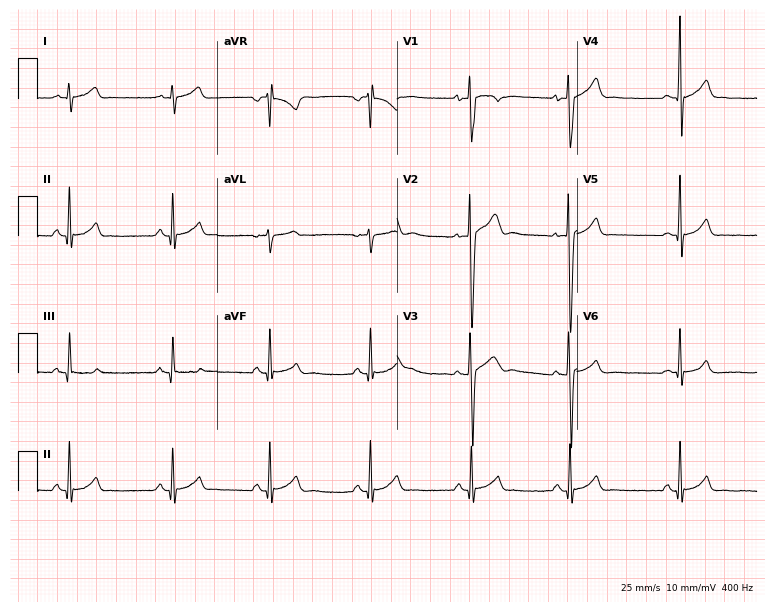
Resting 12-lead electrocardiogram (7.3-second recording at 400 Hz). Patient: a man, 17 years old. None of these six findings is recorded: first-degree AV block, right bundle branch block, left bundle branch block, sinus bradycardia, atrial fibrillation, sinus tachycardia. Other findings, if any, are not listed.